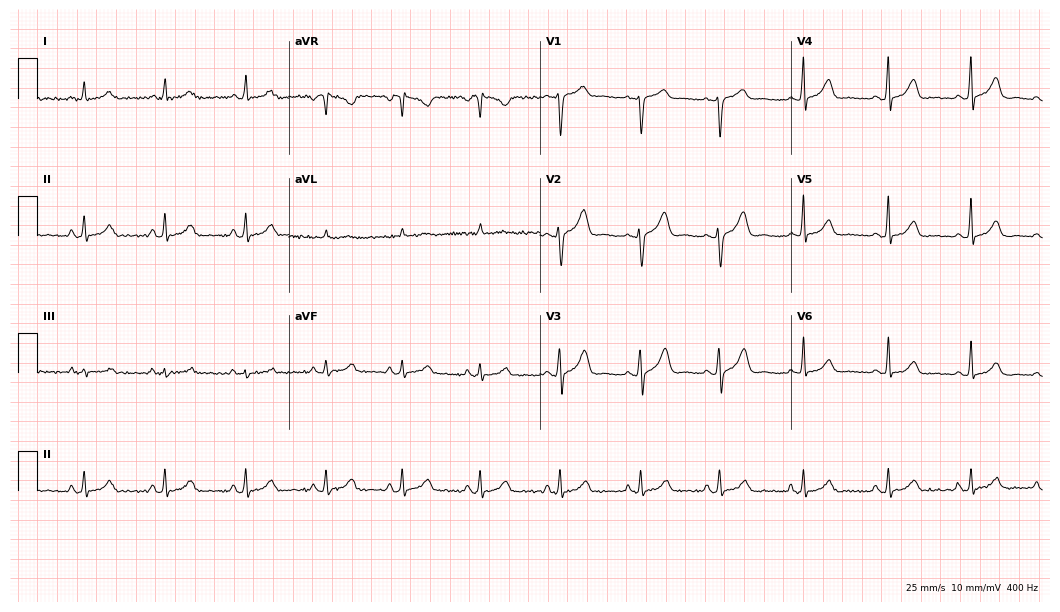
12-lead ECG (10.2-second recording at 400 Hz) from a 35-year-old female patient. Labelled as a normal ECG.